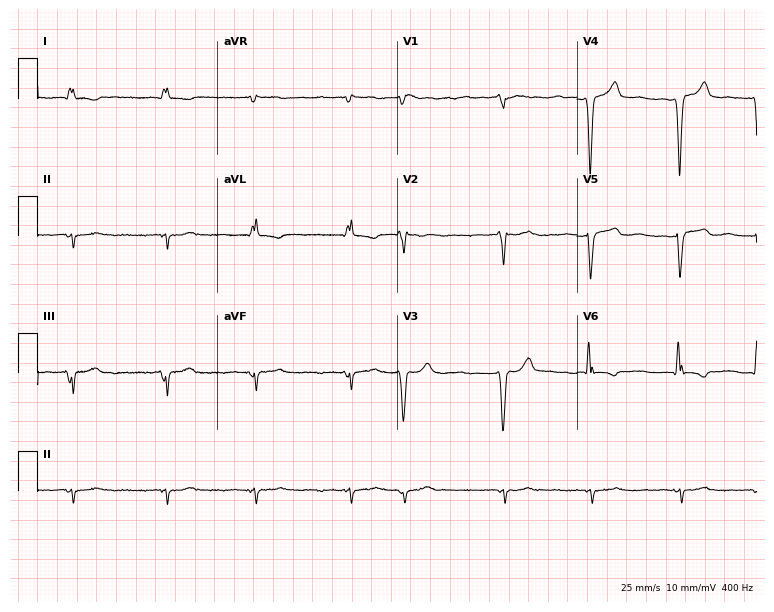
Electrocardiogram, a man, 59 years old. Of the six screened findings (first-degree AV block, right bundle branch block, left bundle branch block, sinus bradycardia, atrial fibrillation, sinus tachycardia), none is recorded.